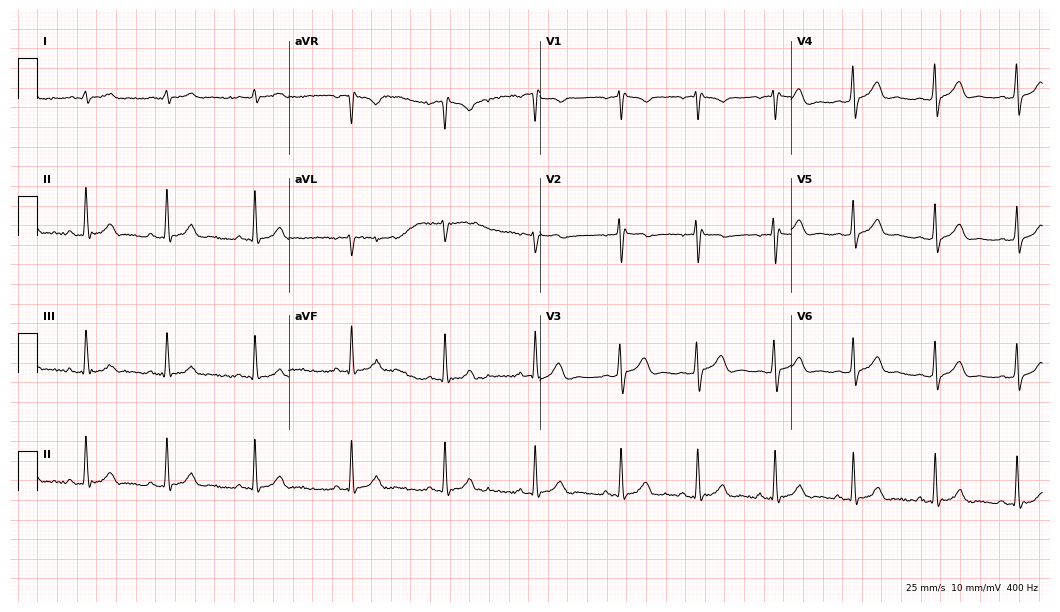
Standard 12-lead ECG recorded from a male, 20 years old. Read as a normal ECG.